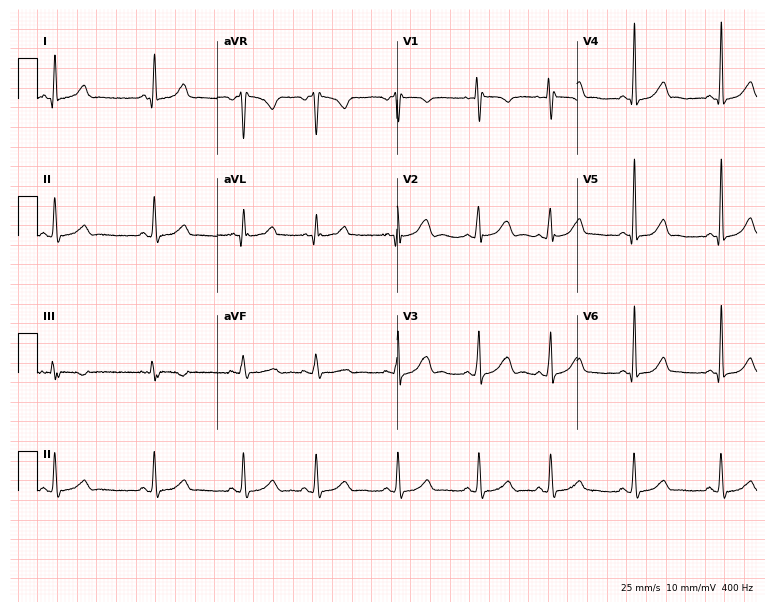
ECG — a 21-year-old woman. Labelled as a normal ECG.